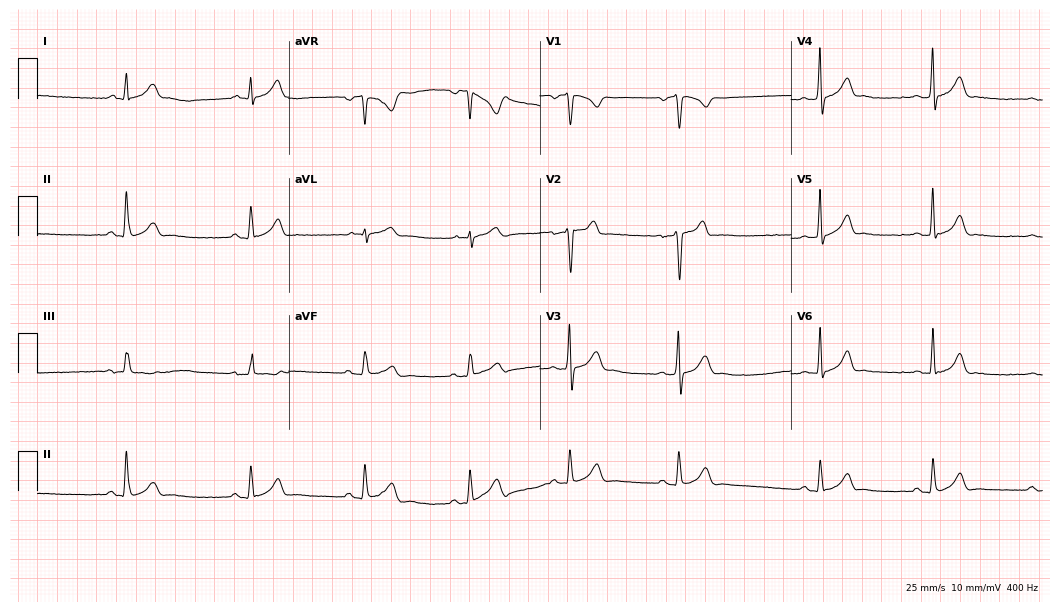
Standard 12-lead ECG recorded from a 27-year-old man (10.2-second recording at 400 Hz). Read as a normal ECG.